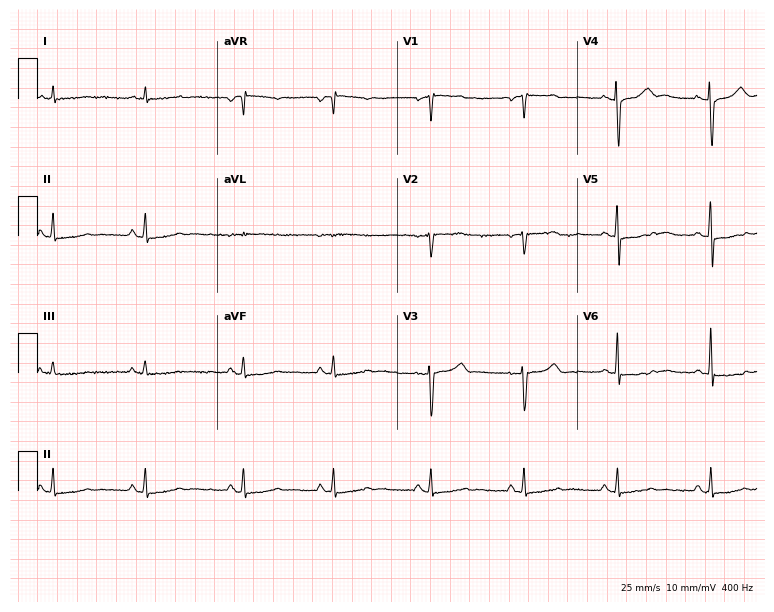
Resting 12-lead electrocardiogram (7.3-second recording at 400 Hz). Patient: a woman, 47 years old. None of these six findings is recorded: first-degree AV block, right bundle branch block, left bundle branch block, sinus bradycardia, atrial fibrillation, sinus tachycardia. Other findings, if any, are not listed.